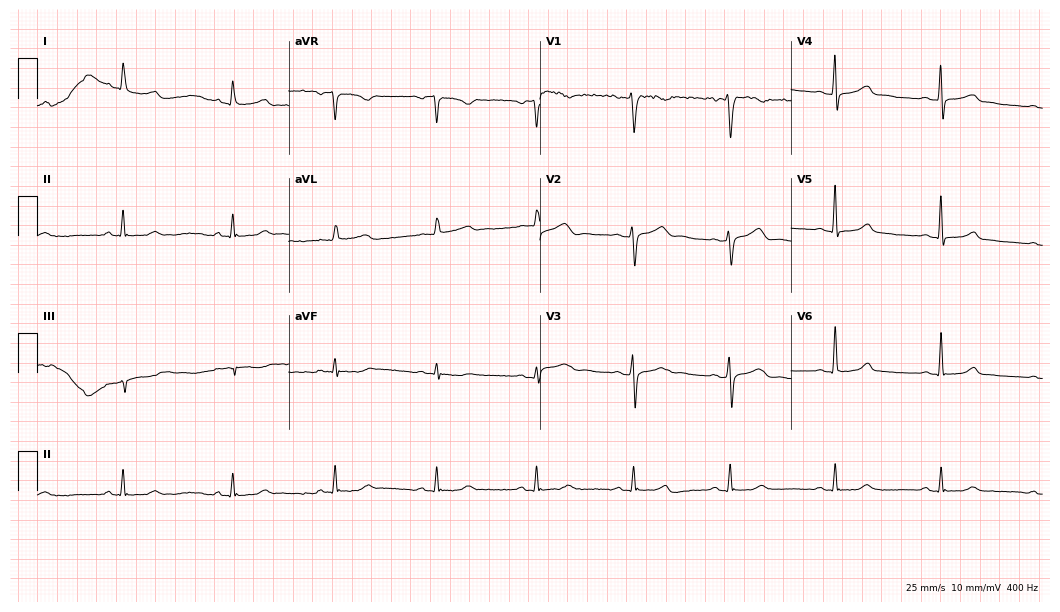
Resting 12-lead electrocardiogram (10.2-second recording at 400 Hz). Patient: a male, 48 years old. Read as a normal ECG.